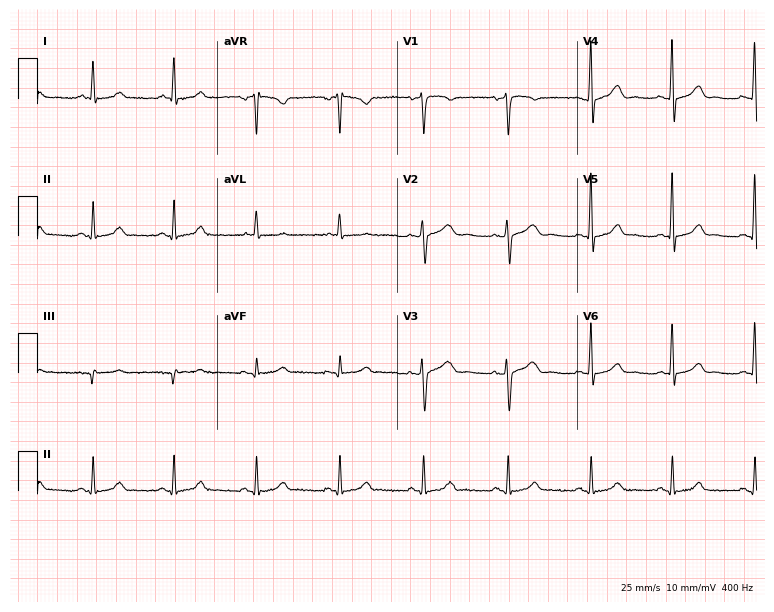
12-lead ECG from a 52-year-old female patient. Labelled as a normal ECG.